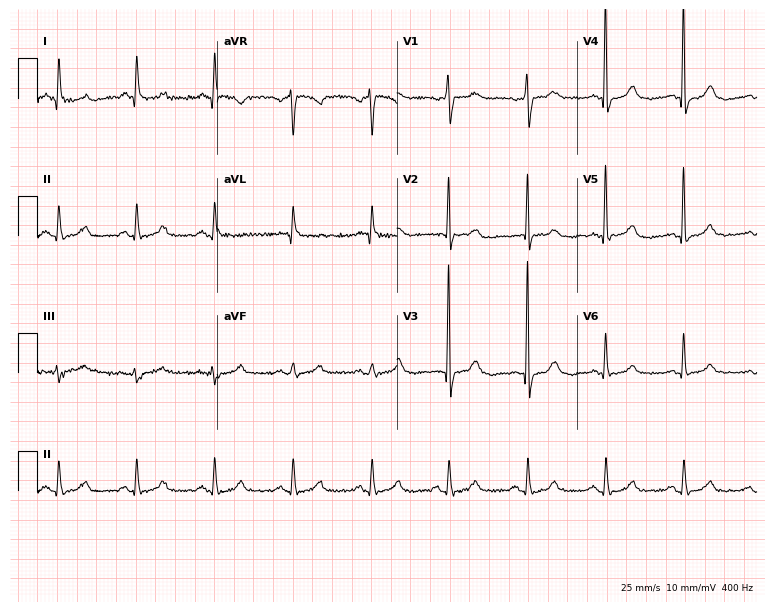
ECG — a woman, 50 years old. Screened for six findings — first-degree AV block, right bundle branch block, left bundle branch block, sinus bradycardia, atrial fibrillation, sinus tachycardia — none is recorded.